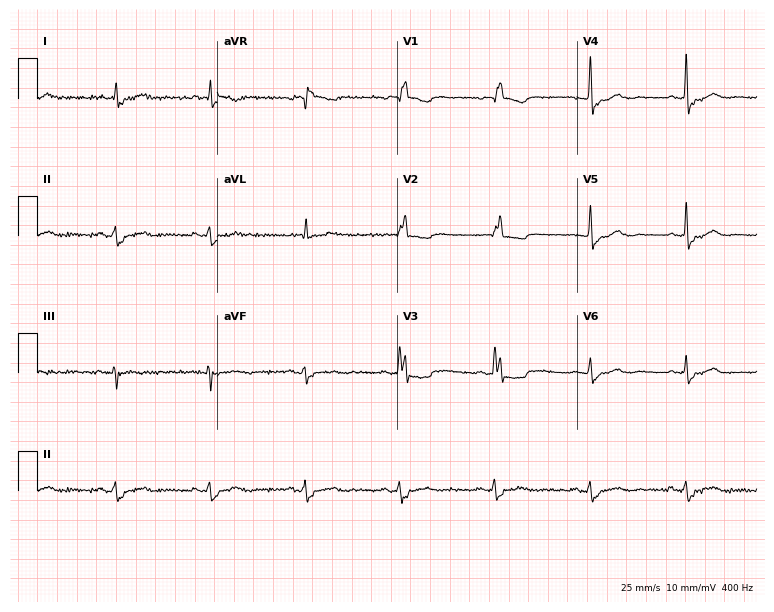
12-lead ECG from a woman, 80 years old (7.3-second recording at 400 Hz). Shows right bundle branch block.